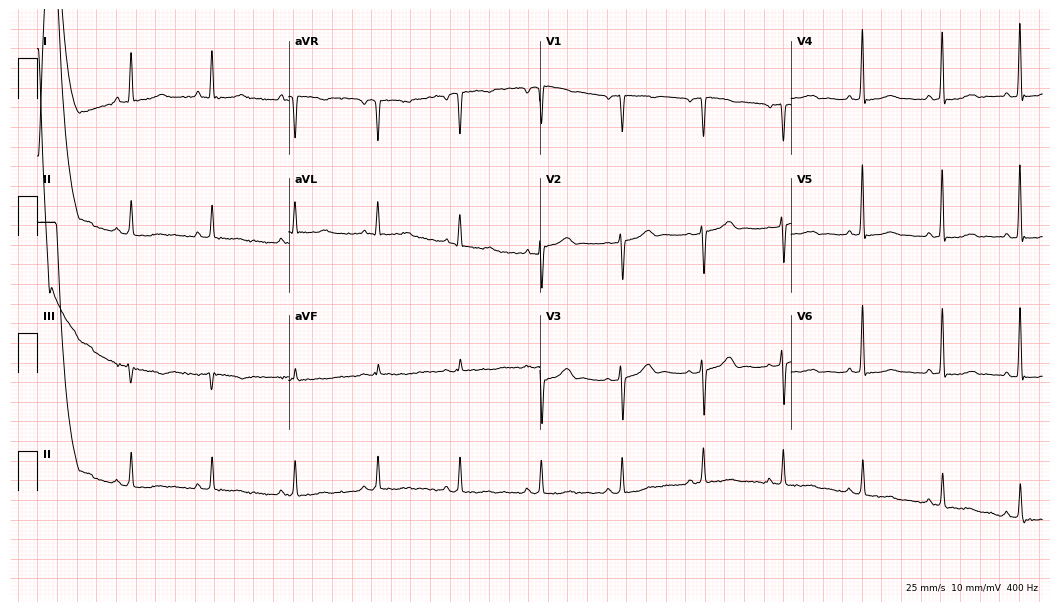
Resting 12-lead electrocardiogram (10.2-second recording at 400 Hz). Patient: a woman, 61 years old. Read as a normal ECG.